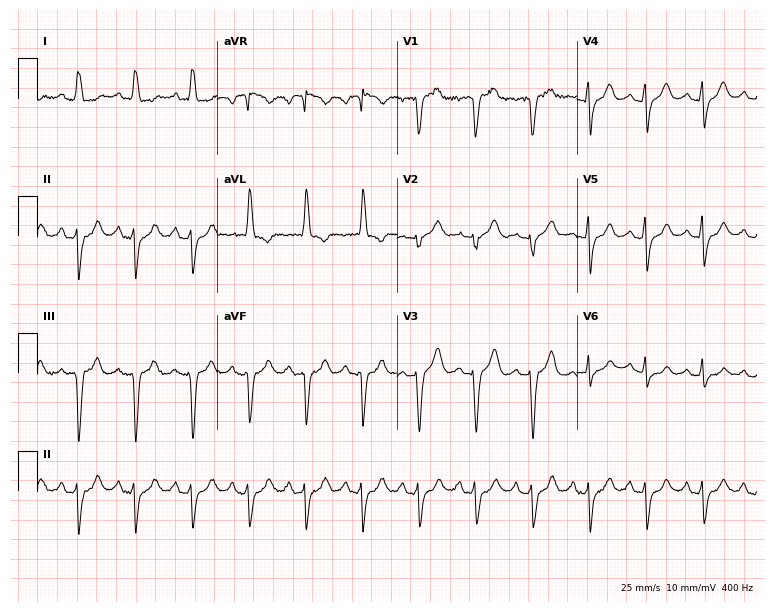
ECG — a 68-year-old male patient. Findings include sinus tachycardia (a sinus rate of 100 beats per minute or more).